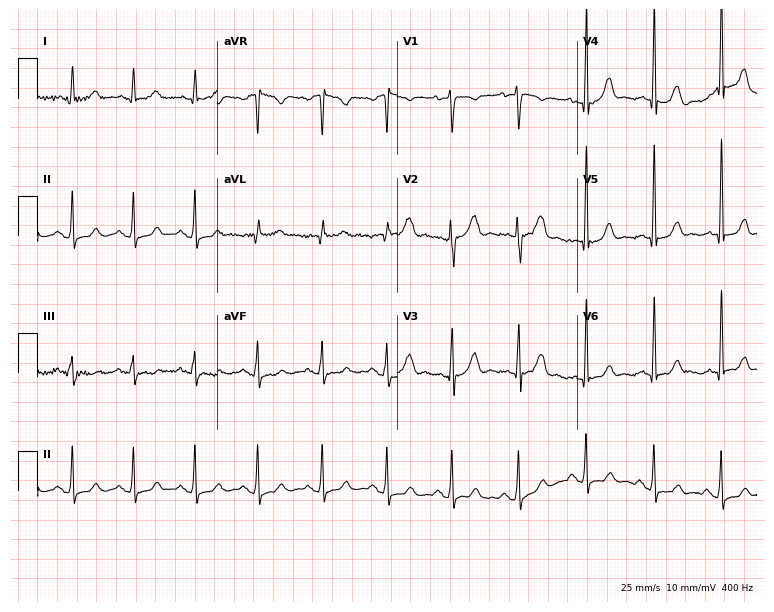
Standard 12-lead ECG recorded from a 38-year-old woman. None of these six findings is recorded: first-degree AV block, right bundle branch block (RBBB), left bundle branch block (LBBB), sinus bradycardia, atrial fibrillation (AF), sinus tachycardia. Findings outside these six are not listed.